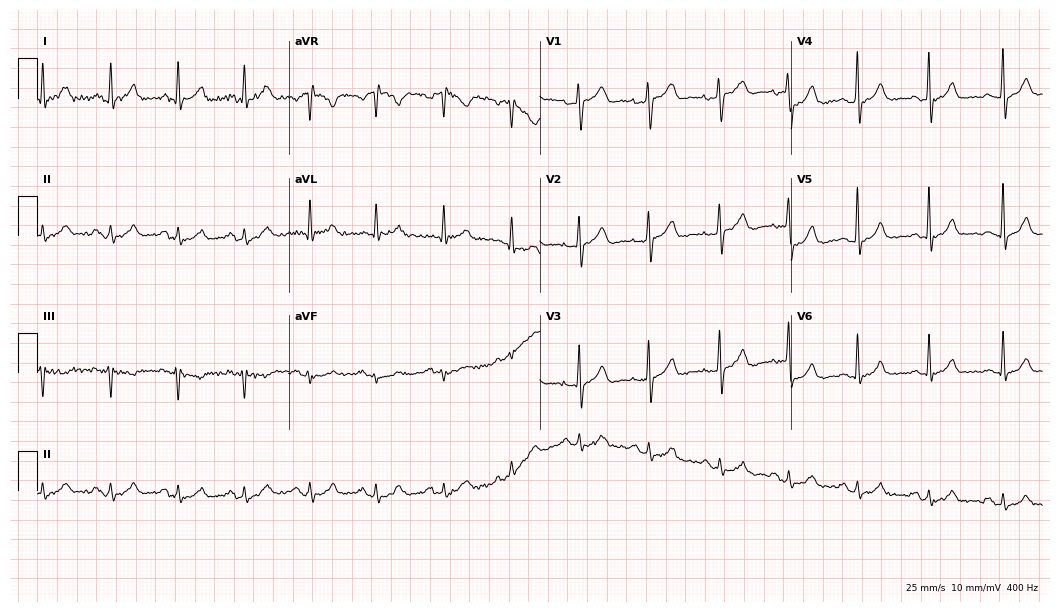
ECG (10.2-second recording at 400 Hz) — a 51-year-old male. Labelled as a normal ECG.